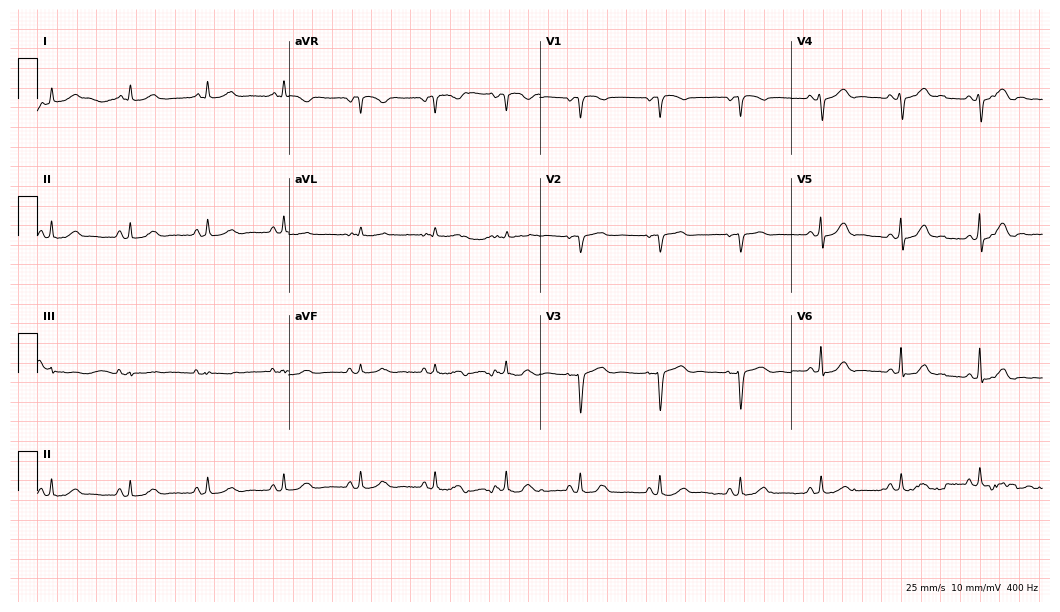
12-lead ECG from a woman, 67 years old (10.2-second recording at 400 Hz). Recorded interpretation: within normal limits.